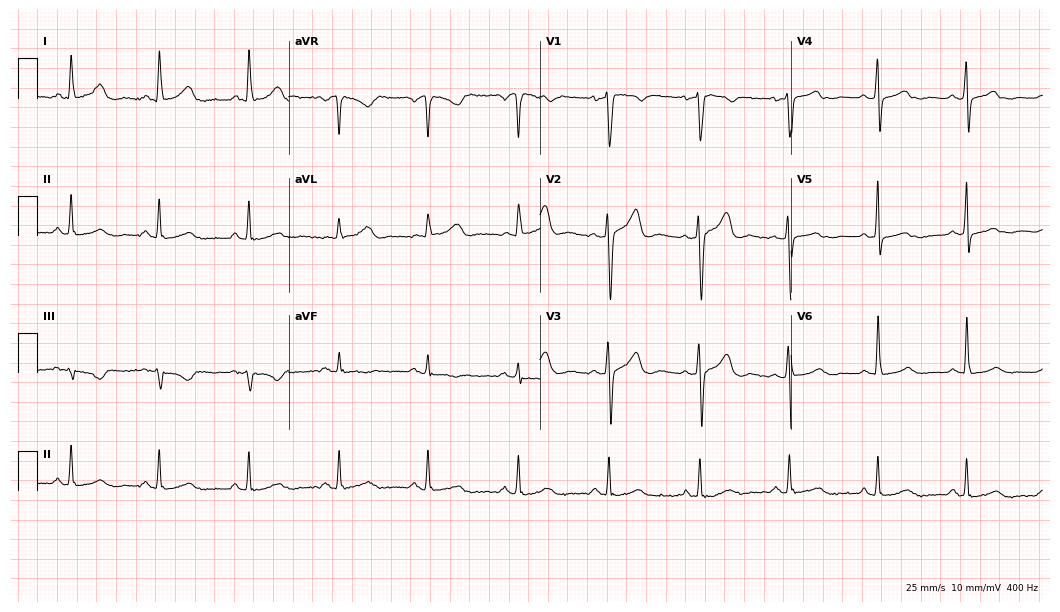
ECG — a woman, 58 years old. Screened for six findings — first-degree AV block, right bundle branch block (RBBB), left bundle branch block (LBBB), sinus bradycardia, atrial fibrillation (AF), sinus tachycardia — none is recorded. Only these six findings were labelled.